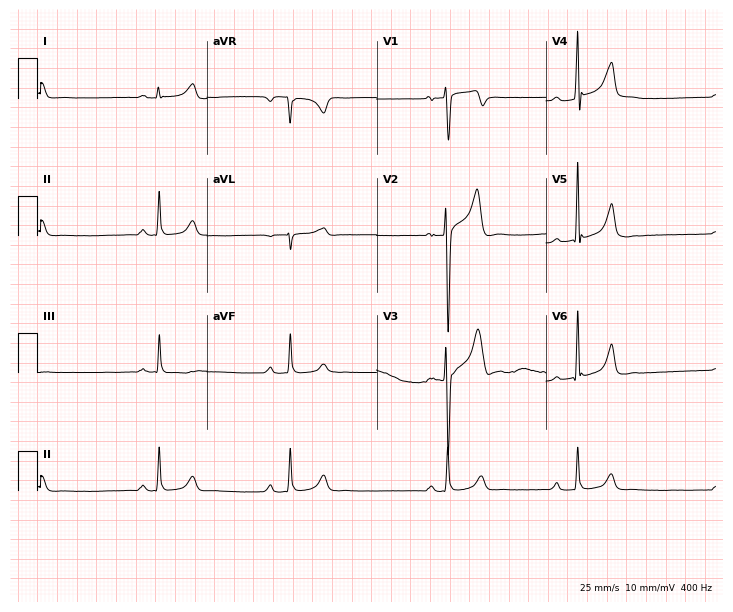
Standard 12-lead ECG recorded from a male, 31 years old (6.9-second recording at 400 Hz). None of these six findings is recorded: first-degree AV block, right bundle branch block, left bundle branch block, sinus bradycardia, atrial fibrillation, sinus tachycardia. Only these six findings were labelled.